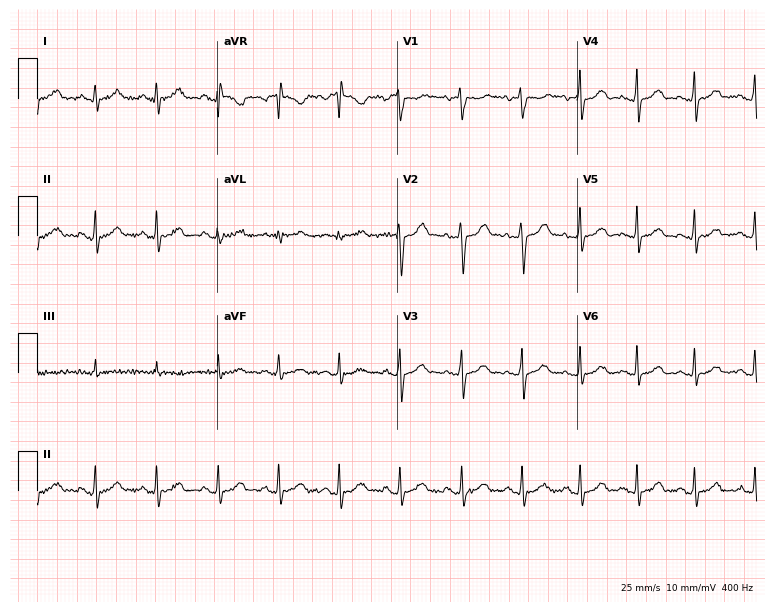
ECG — a female, 35 years old. Screened for six findings — first-degree AV block, right bundle branch block, left bundle branch block, sinus bradycardia, atrial fibrillation, sinus tachycardia — none is recorded.